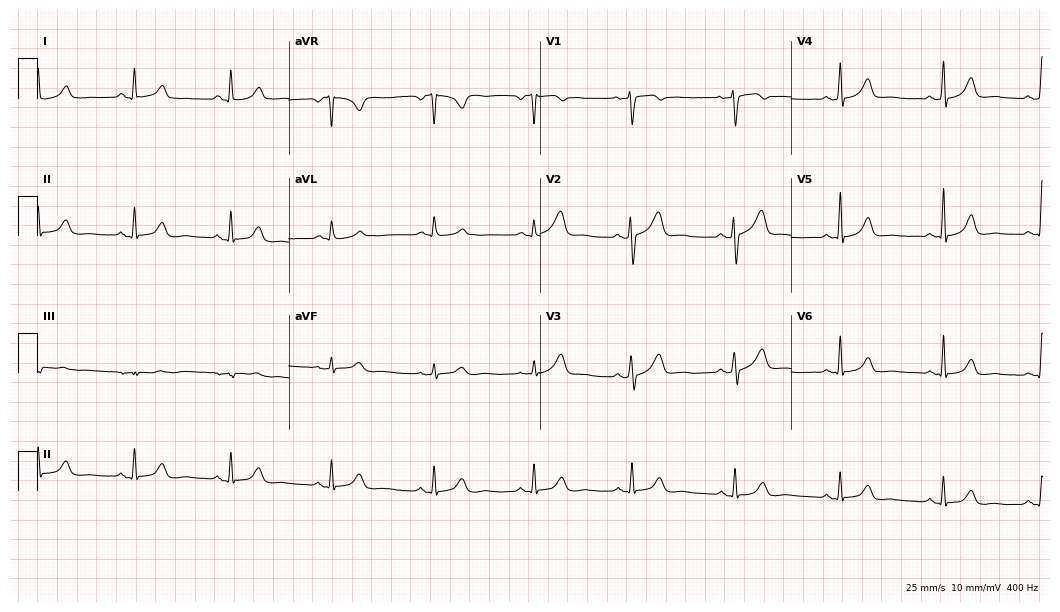
Electrocardiogram (10.2-second recording at 400 Hz), a female patient, 58 years old. Of the six screened findings (first-degree AV block, right bundle branch block (RBBB), left bundle branch block (LBBB), sinus bradycardia, atrial fibrillation (AF), sinus tachycardia), none is recorded. Only these six findings were labelled.